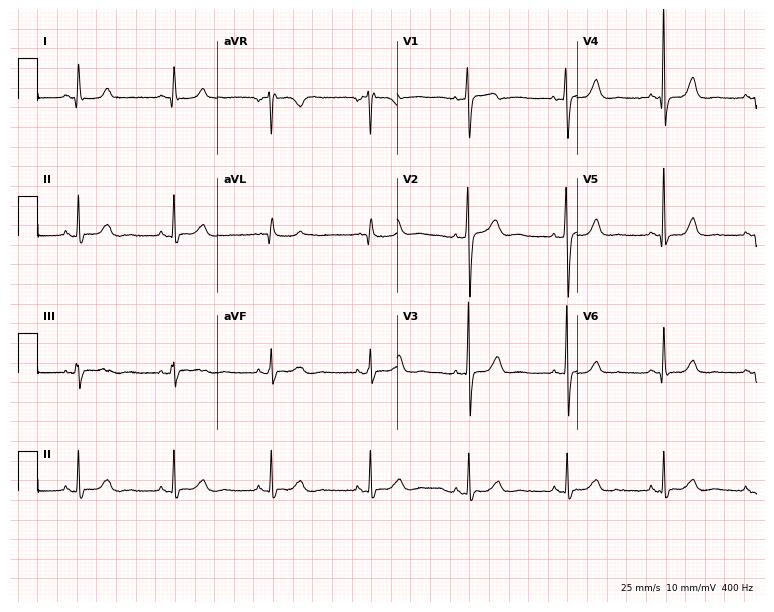
ECG (7.3-second recording at 400 Hz) — a female patient, 51 years old. Labelled as a normal ECG.